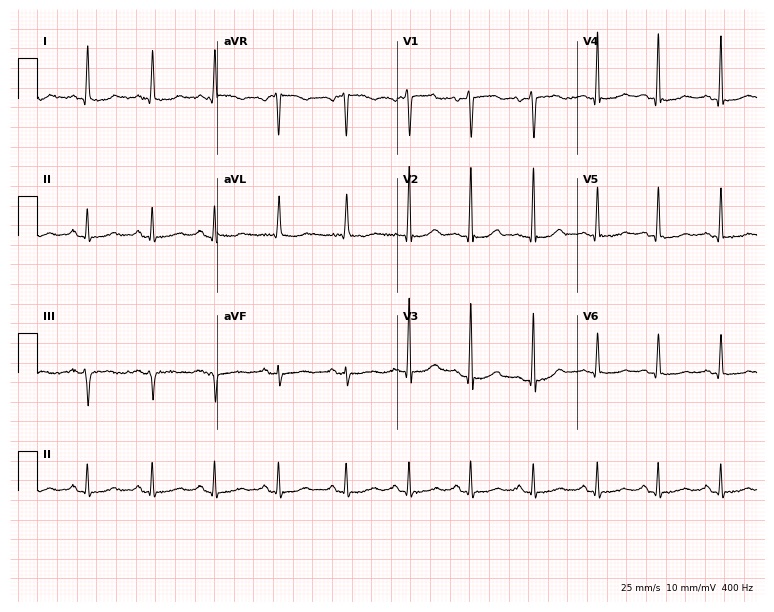
ECG (7.3-second recording at 400 Hz) — a 56-year-old female patient. Screened for six findings — first-degree AV block, right bundle branch block, left bundle branch block, sinus bradycardia, atrial fibrillation, sinus tachycardia — none is recorded.